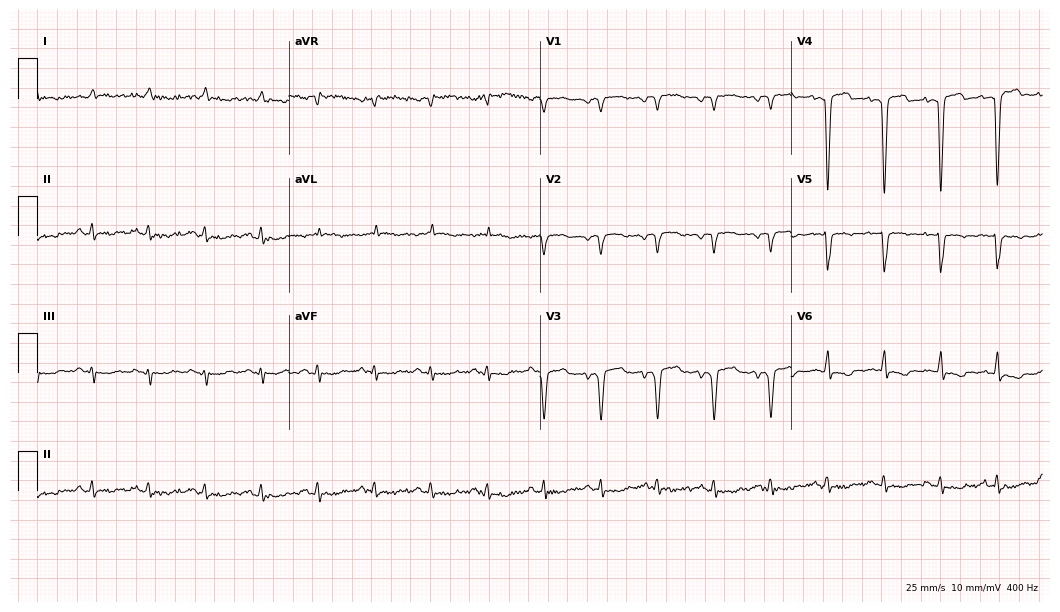
Electrocardiogram, a male, 82 years old. Interpretation includes sinus tachycardia (a sinus rate of 100 beats per minute or more).